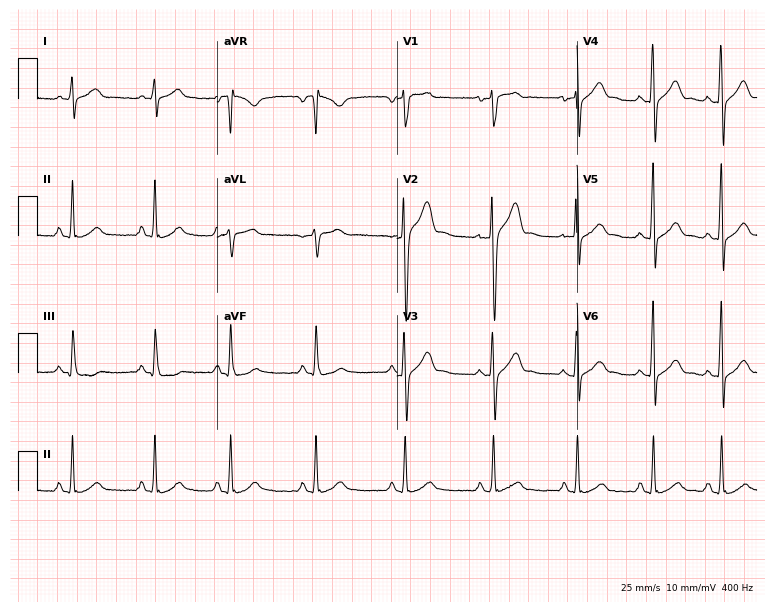
Resting 12-lead electrocardiogram (7.3-second recording at 400 Hz). Patient: a male, 29 years old. Read as a normal ECG.